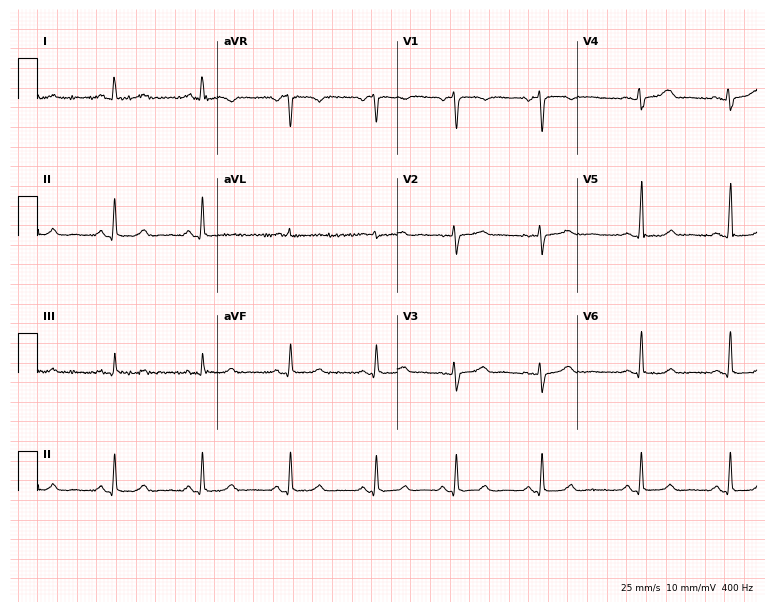
12-lead ECG (7.3-second recording at 400 Hz) from a 38-year-old female patient. Screened for six findings — first-degree AV block, right bundle branch block, left bundle branch block, sinus bradycardia, atrial fibrillation, sinus tachycardia — none is recorded. Other findings, if any, are not listed.